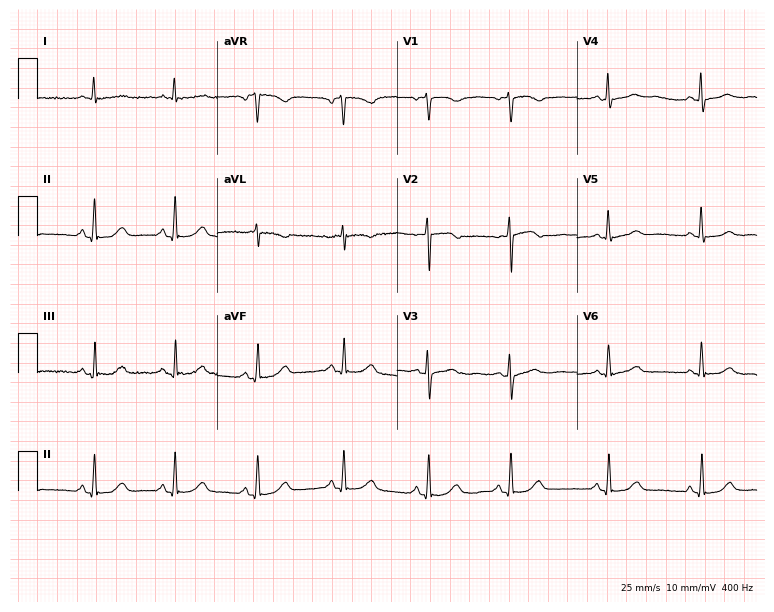
Standard 12-lead ECG recorded from a 55-year-old female. Read as a normal ECG.